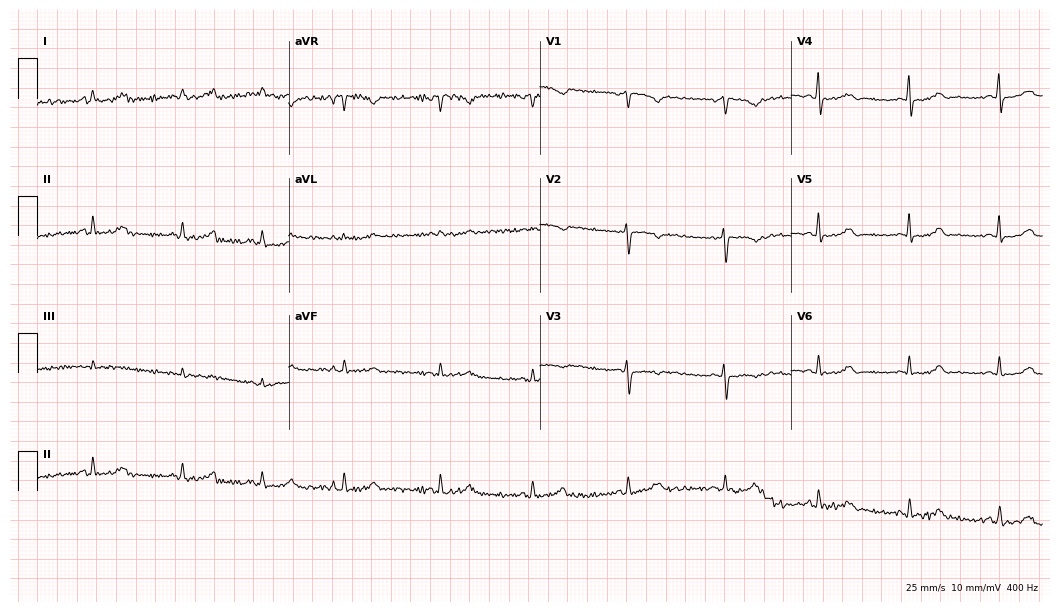
12-lead ECG from a 33-year-old female patient (10.2-second recording at 400 Hz). No first-degree AV block, right bundle branch block, left bundle branch block, sinus bradycardia, atrial fibrillation or sinus tachycardia recorded for this tracing.